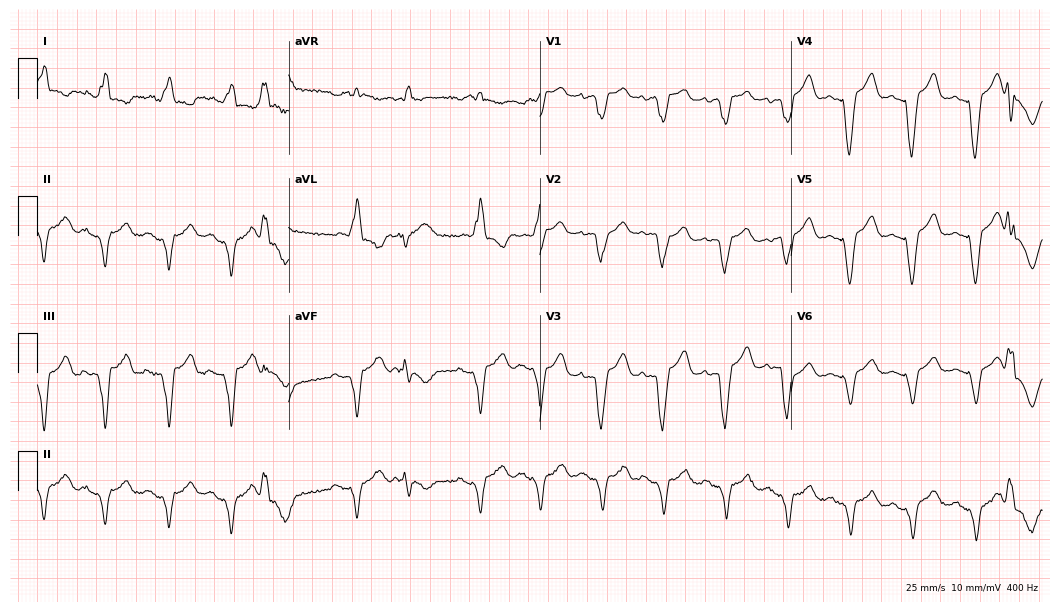
Electrocardiogram, a female patient, 85 years old. Of the six screened findings (first-degree AV block, right bundle branch block, left bundle branch block, sinus bradycardia, atrial fibrillation, sinus tachycardia), none is recorded.